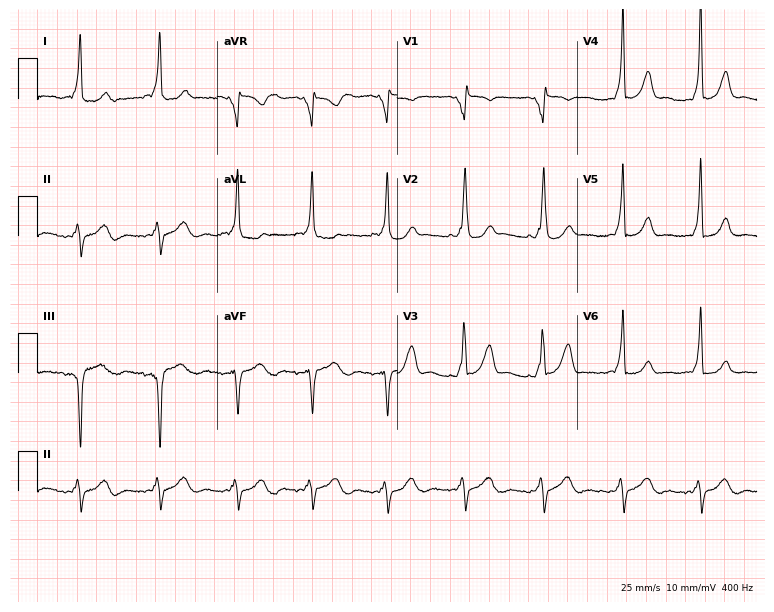
12-lead ECG from a woman, 30 years old. Screened for six findings — first-degree AV block, right bundle branch block, left bundle branch block, sinus bradycardia, atrial fibrillation, sinus tachycardia — none is recorded. Findings outside these six are not listed.